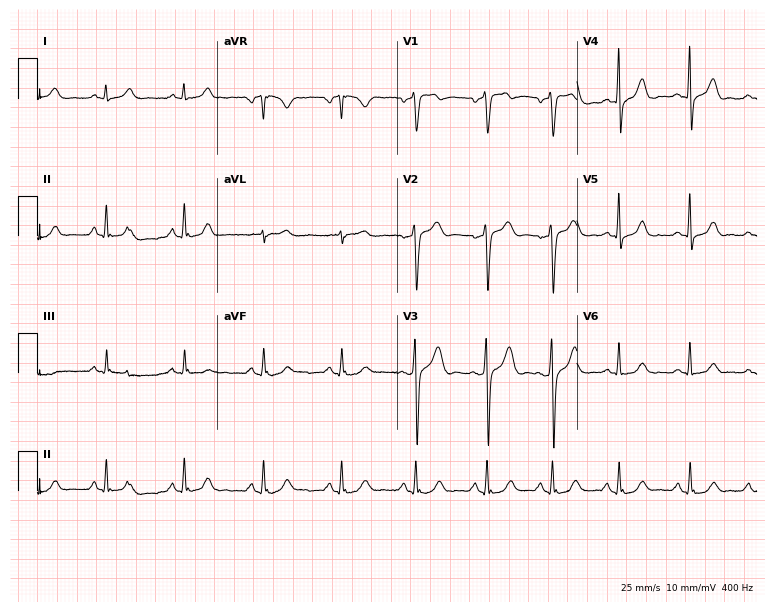
Resting 12-lead electrocardiogram. Patient: a male, 48 years old. None of these six findings is recorded: first-degree AV block, right bundle branch block, left bundle branch block, sinus bradycardia, atrial fibrillation, sinus tachycardia. Other findings, if any, are not listed.